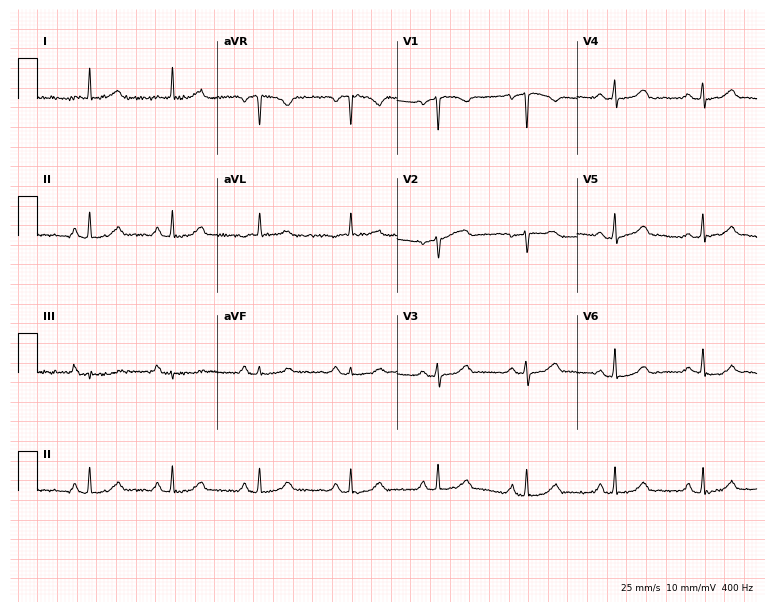
12-lead ECG from a 55-year-old woman (7.3-second recording at 400 Hz). Recorded interpretation: within normal limits.